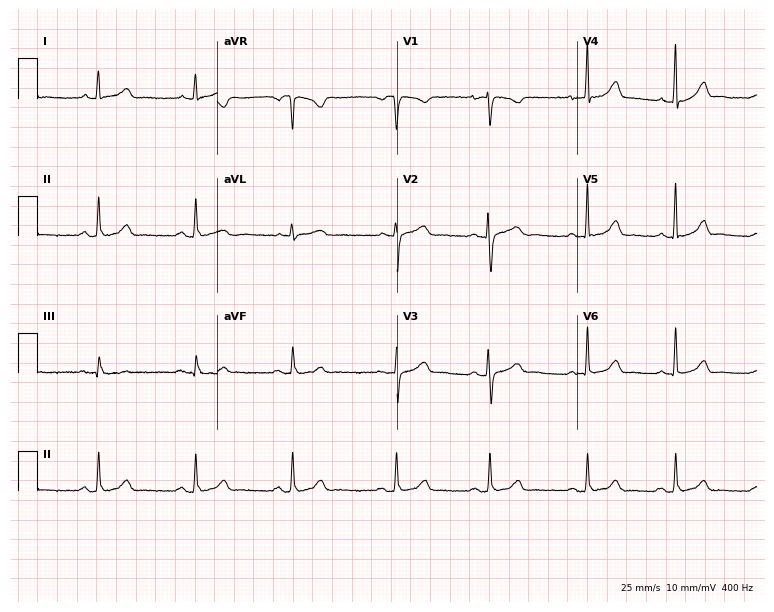
Standard 12-lead ECG recorded from a 32-year-old female (7.3-second recording at 400 Hz). None of these six findings is recorded: first-degree AV block, right bundle branch block (RBBB), left bundle branch block (LBBB), sinus bradycardia, atrial fibrillation (AF), sinus tachycardia.